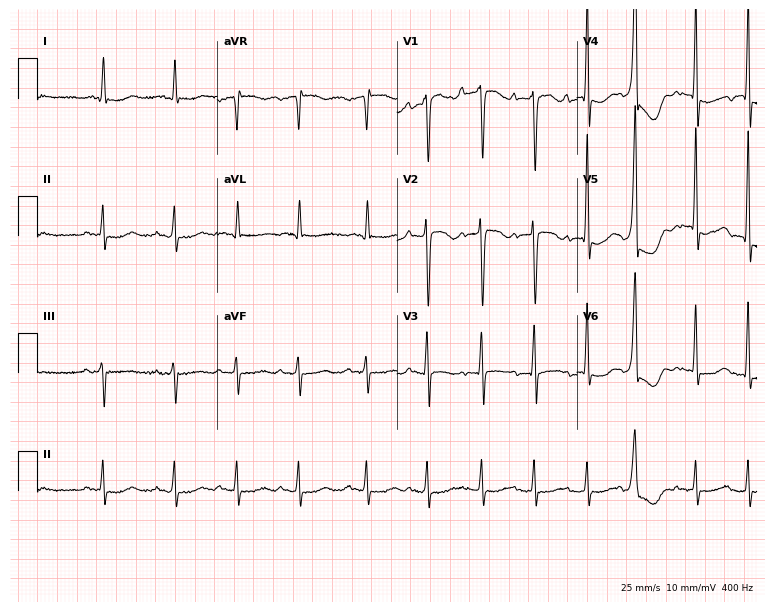
12-lead ECG from a 78-year-old woman. Shows sinus tachycardia (a sinus rate of 100 beats per minute or more).